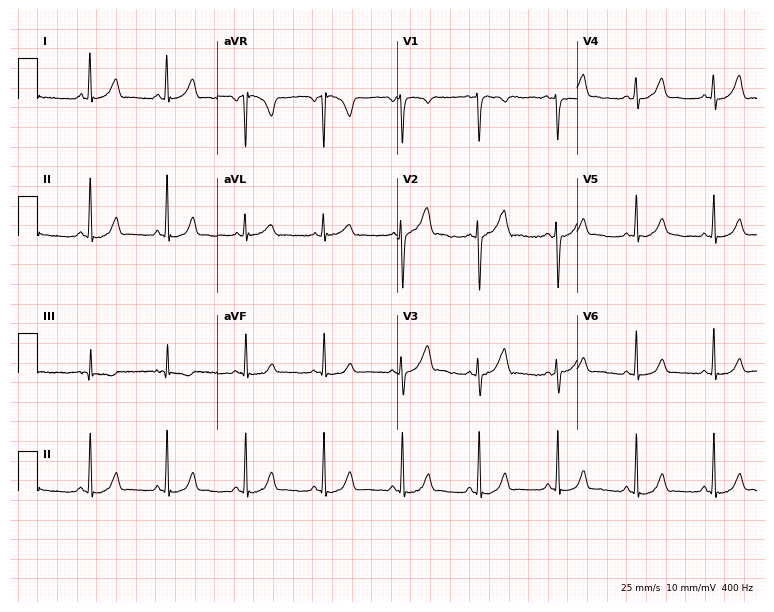
Standard 12-lead ECG recorded from a female, 22 years old (7.3-second recording at 400 Hz). None of these six findings is recorded: first-degree AV block, right bundle branch block (RBBB), left bundle branch block (LBBB), sinus bradycardia, atrial fibrillation (AF), sinus tachycardia. Findings outside these six are not listed.